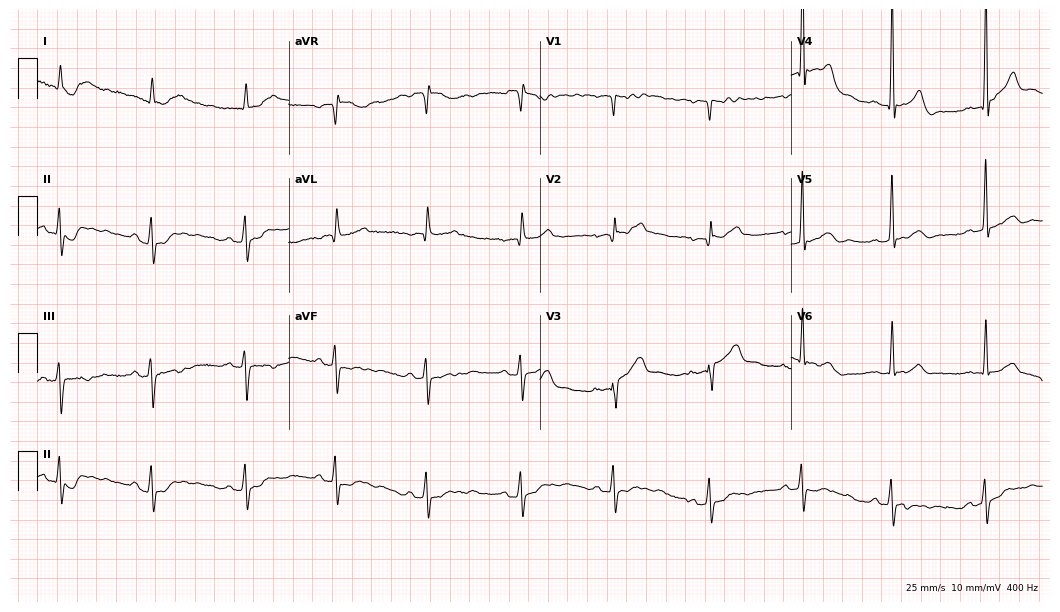
Standard 12-lead ECG recorded from a male patient, 79 years old. Read as a normal ECG.